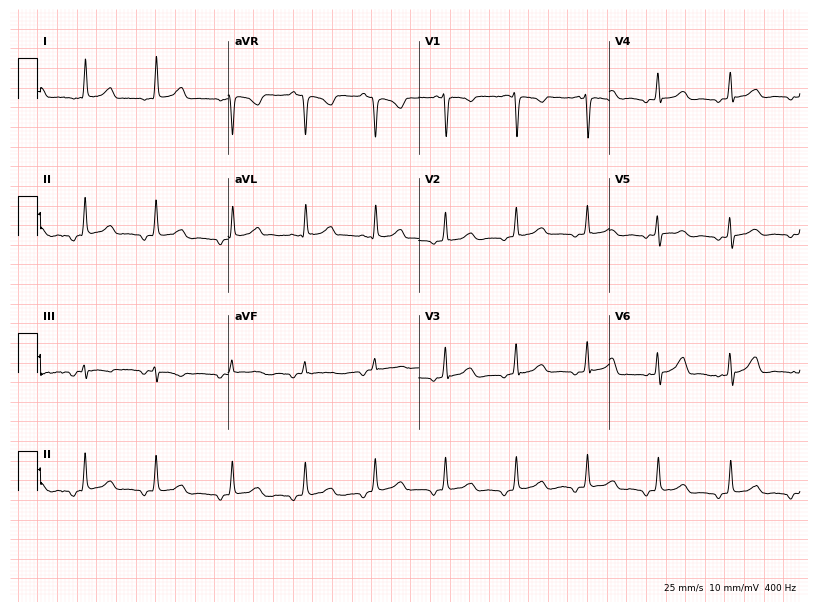
Electrocardiogram (7.8-second recording at 400 Hz), a 46-year-old female patient. Overall reading on record: normal ECG.